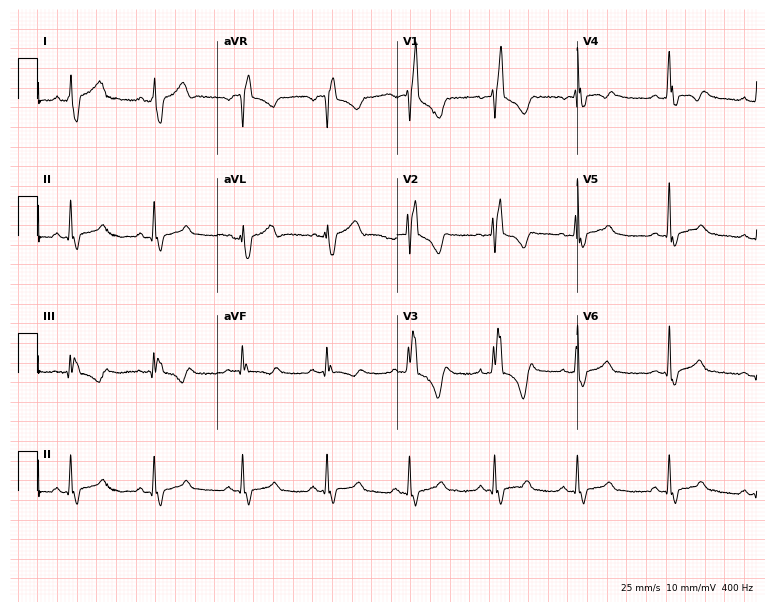
12-lead ECG from a male patient, 22 years old. Findings include right bundle branch block.